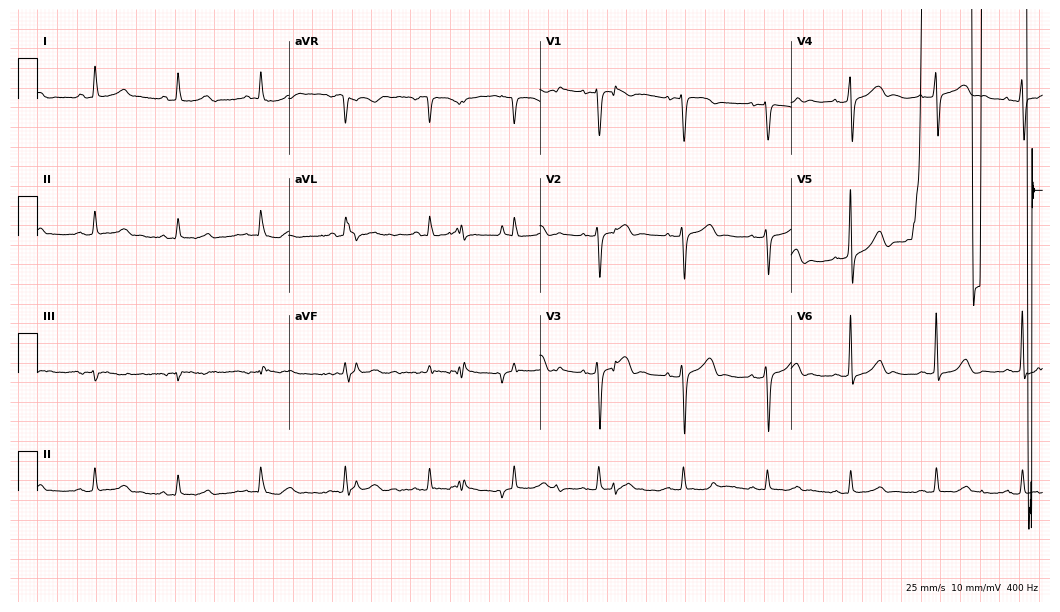
12-lead ECG (10.2-second recording at 400 Hz) from a 54-year-old female patient. Screened for six findings — first-degree AV block, right bundle branch block (RBBB), left bundle branch block (LBBB), sinus bradycardia, atrial fibrillation (AF), sinus tachycardia — none is recorded. Findings outside these six are not listed.